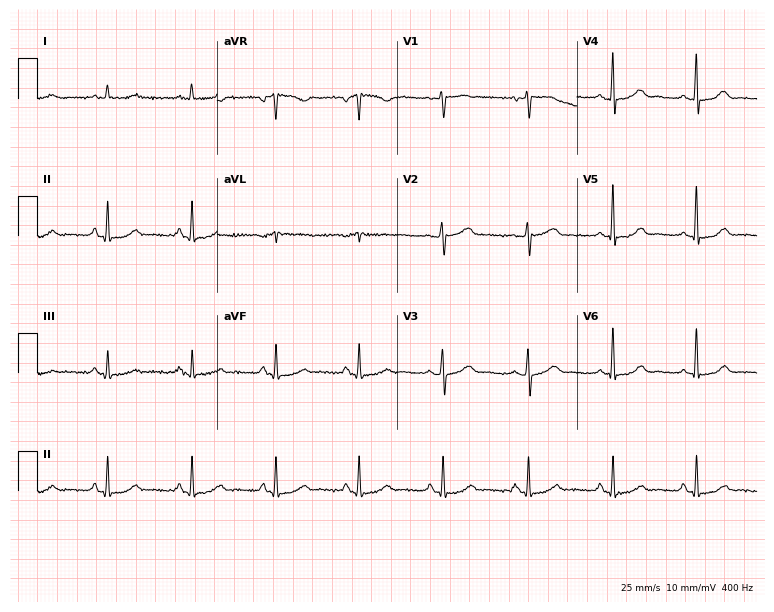
Standard 12-lead ECG recorded from a female patient, 50 years old. None of these six findings is recorded: first-degree AV block, right bundle branch block, left bundle branch block, sinus bradycardia, atrial fibrillation, sinus tachycardia.